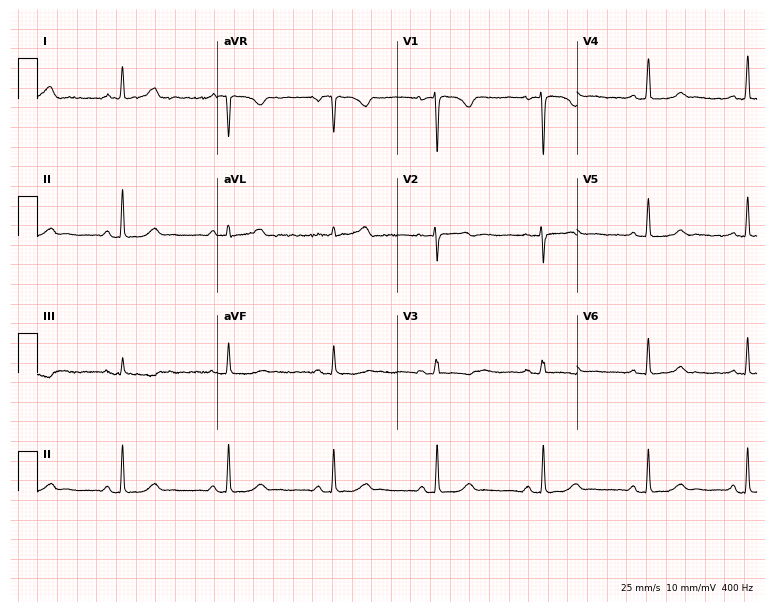
12-lead ECG from a woman, 38 years old. Labelled as a normal ECG.